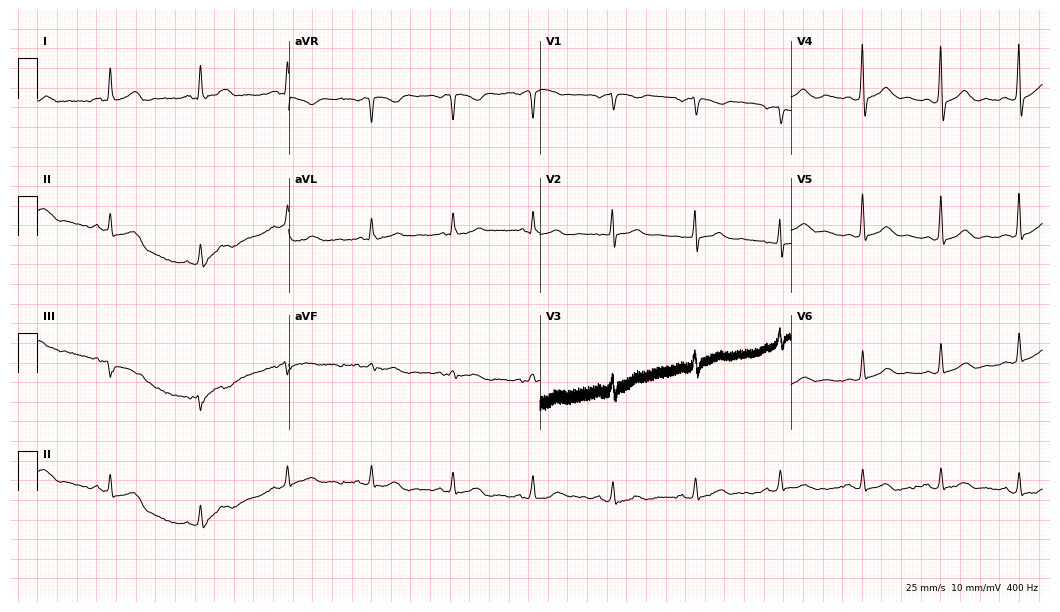
ECG — a 38-year-old man. Labelled as a normal ECG.